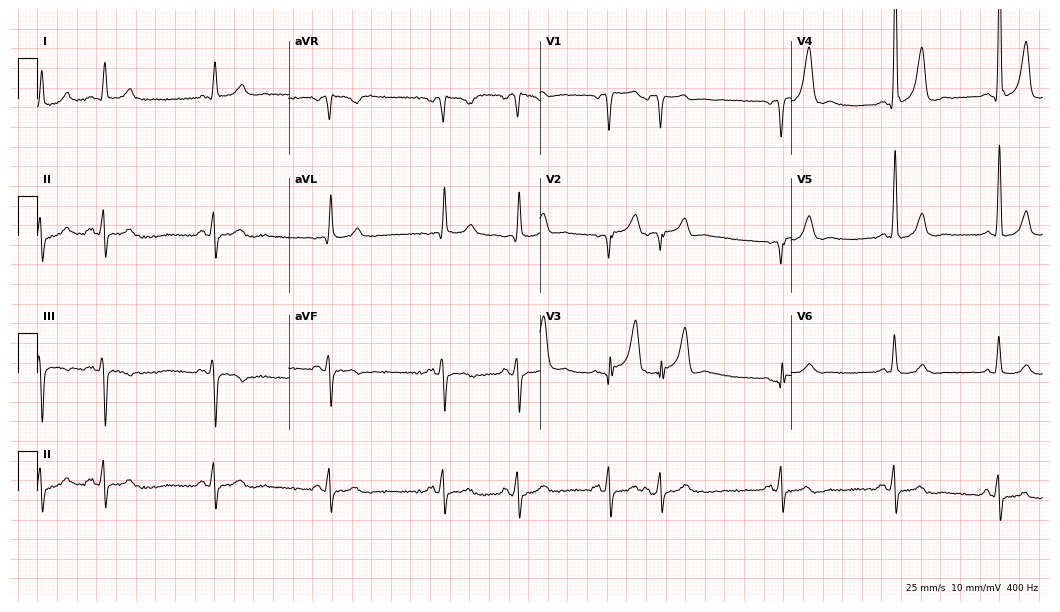
ECG (10.2-second recording at 400 Hz) — a 77-year-old man. Screened for six findings — first-degree AV block, right bundle branch block (RBBB), left bundle branch block (LBBB), sinus bradycardia, atrial fibrillation (AF), sinus tachycardia — none is recorded.